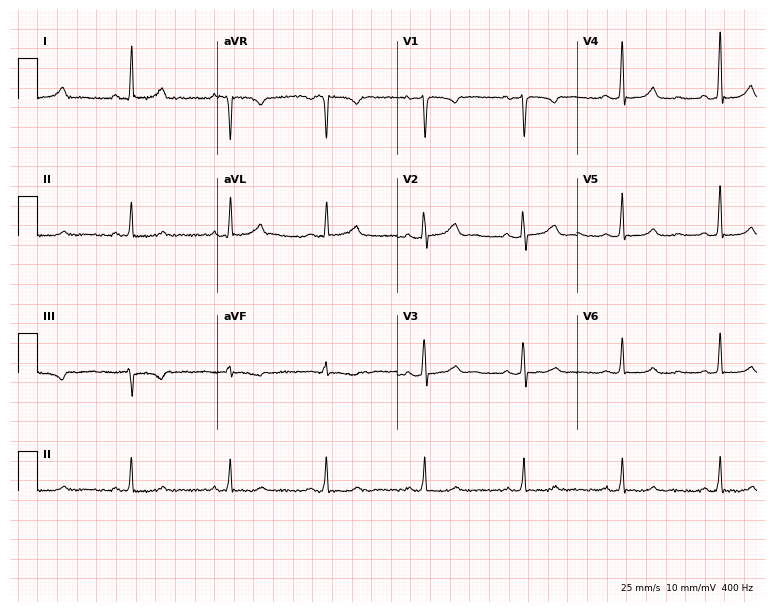
12-lead ECG (7.3-second recording at 400 Hz) from a female, 47 years old. Screened for six findings — first-degree AV block, right bundle branch block, left bundle branch block, sinus bradycardia, atrial fibrillation, sinus tachycardia — none is recorded.